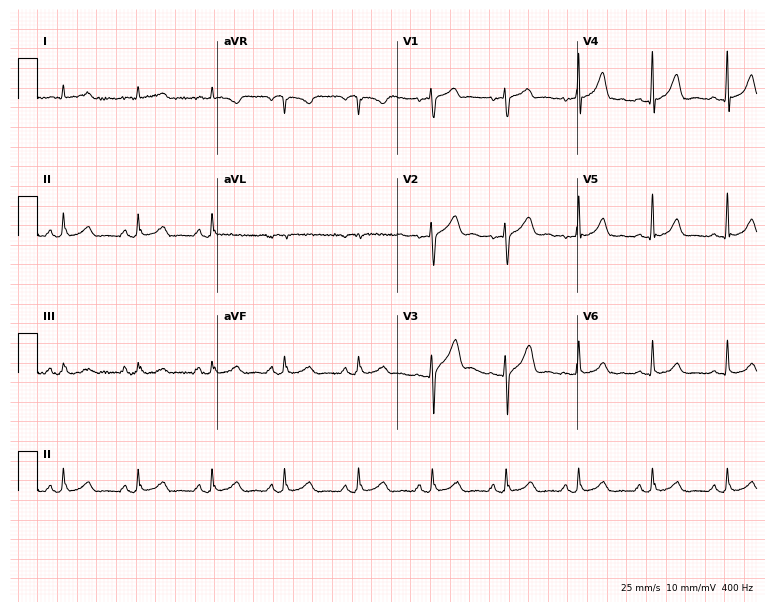
Electrocardiogram, a male patient, 45 years old. Overall reading on record: normal ECG.